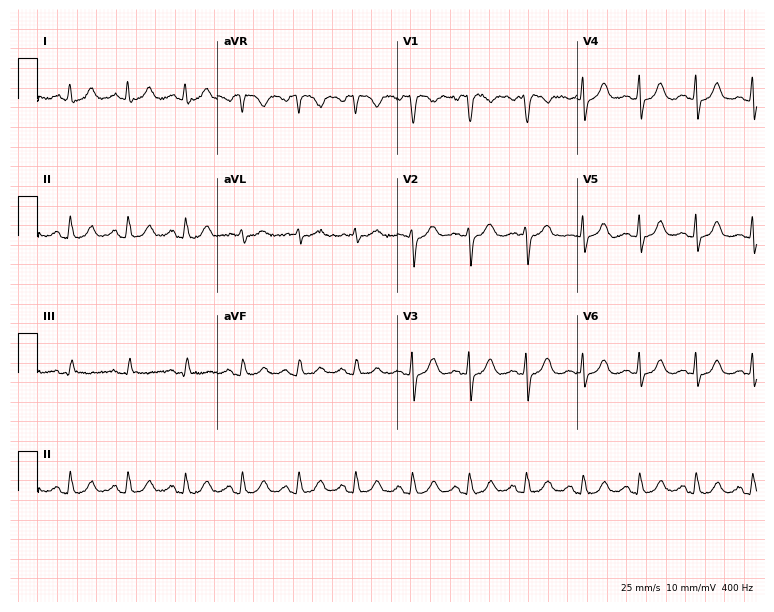
ECG — a female, 49 years old. Findings include sinus tachycardia (a sinus rate of 100 beats per minute or more).